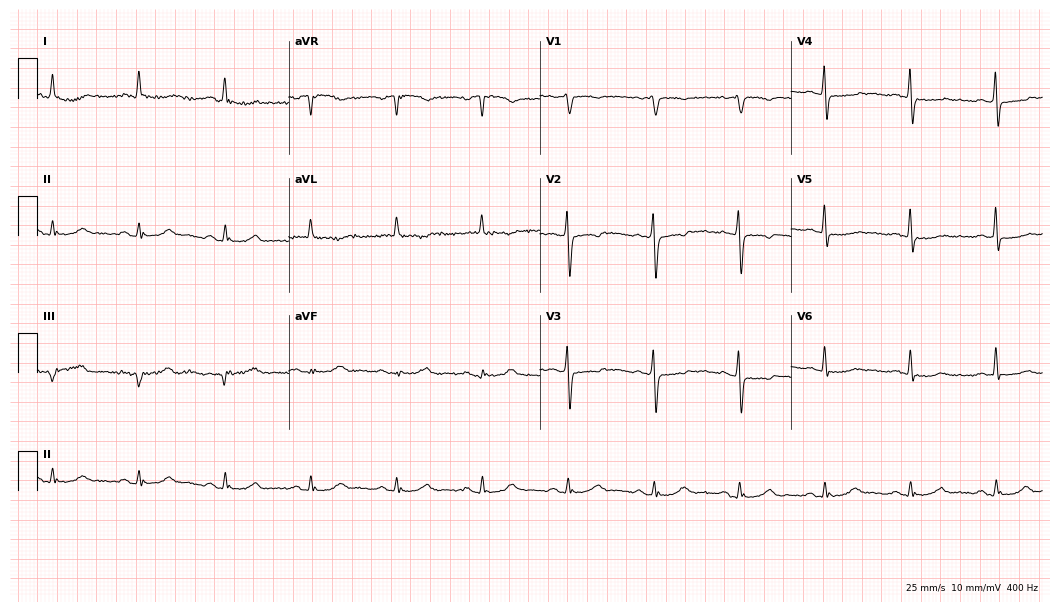
12-lead ECG from a 75-year-old woman (10.2-second recording at 400 Hz). No first-degree AV block, right bundle branch block (RBBB), left bundle branch block (LBBB), sinus bradycardia, atrial fibrillation (AF) or sinus tachycardia recorded for this tracing.